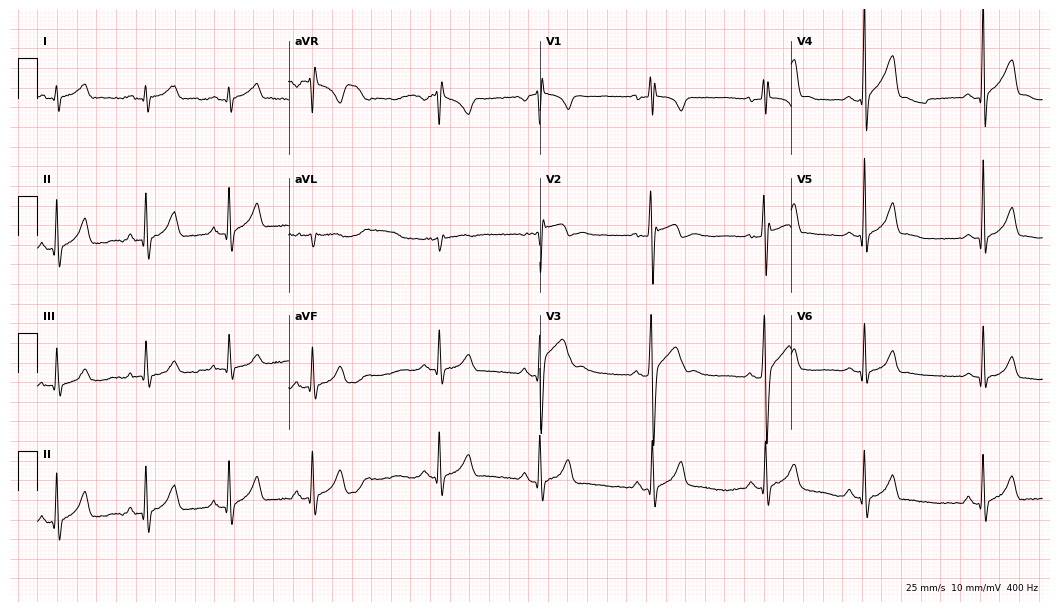
12-lead ECG (10.2-second recording at 400 Hz) from a man, 20 years old. Screened for six findings — first-degree AV block, right bundle branch block, left bundle branch block, sinus bradycardia, atrial fibrillation, sinus tachycardia — none is recorded.